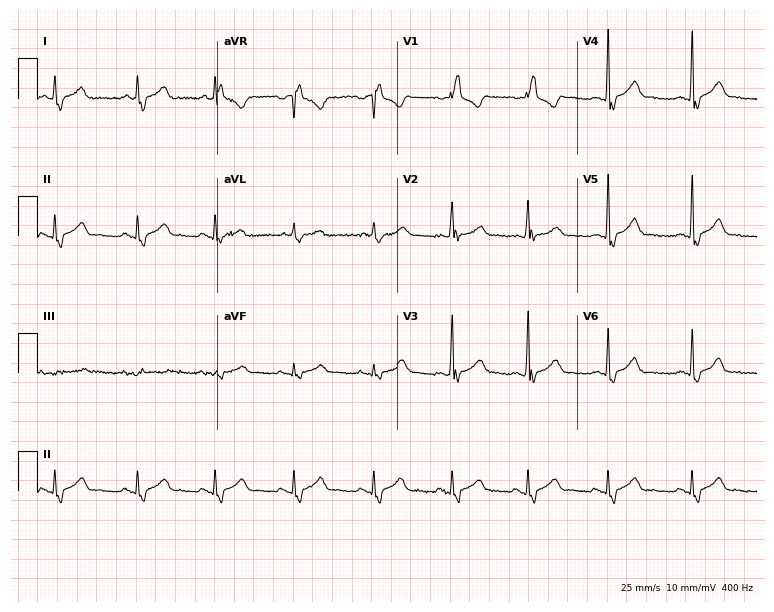
ECG — a male, 35 years old. Findings include right bundle branch block.